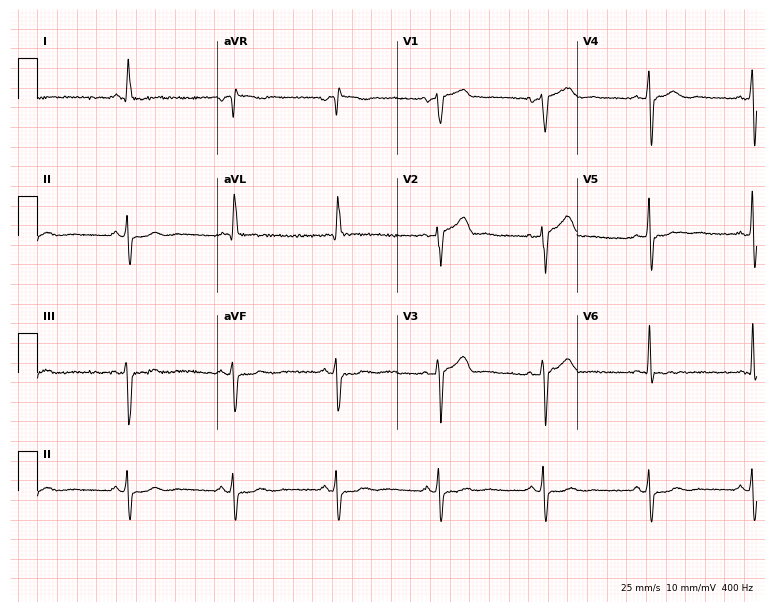
Electrocardiogram (7.3-second recording at 400 Hz), a 51-year-old man. Of the six screened findings (first-degree AV block, right bundle branch block (RBBB), left bundle branch block (LBBB), sinus bradycardia, atrial fibrillation (AF), sinus tachycardia), none is recorded.